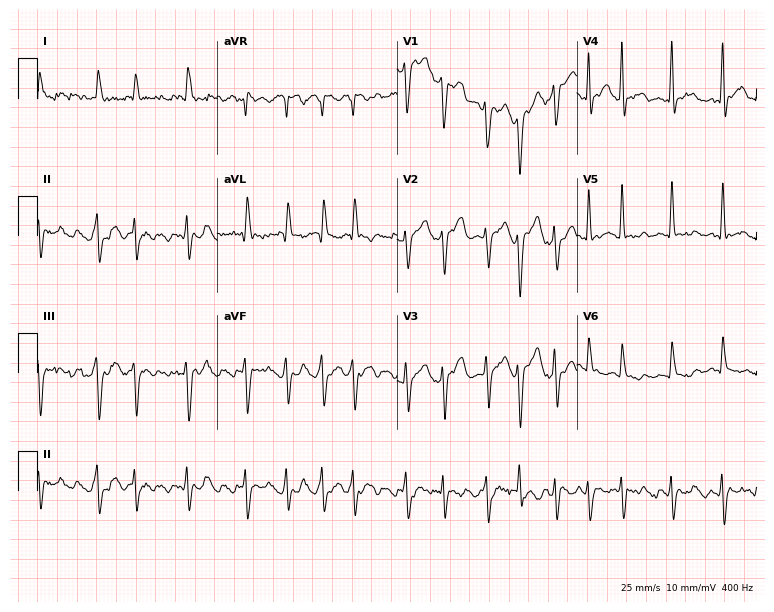
Resting 12-lead electrocardiogram. Patient: a man, 61 years old. The tracing shows atrial fibrillation.